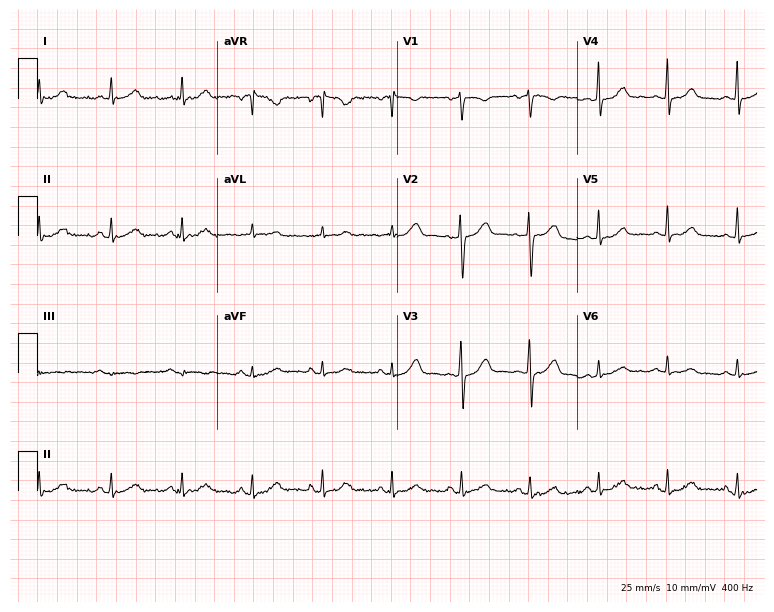
ECG (7.3-second recording at 400 Hz) — a 52-year-old female patient. Screened for six findings — first-degree AV block, right bundle branch block, left bundle branch block, sinus bradycardia, atrial fibrillation, sinus tachycardia — none is recorded.